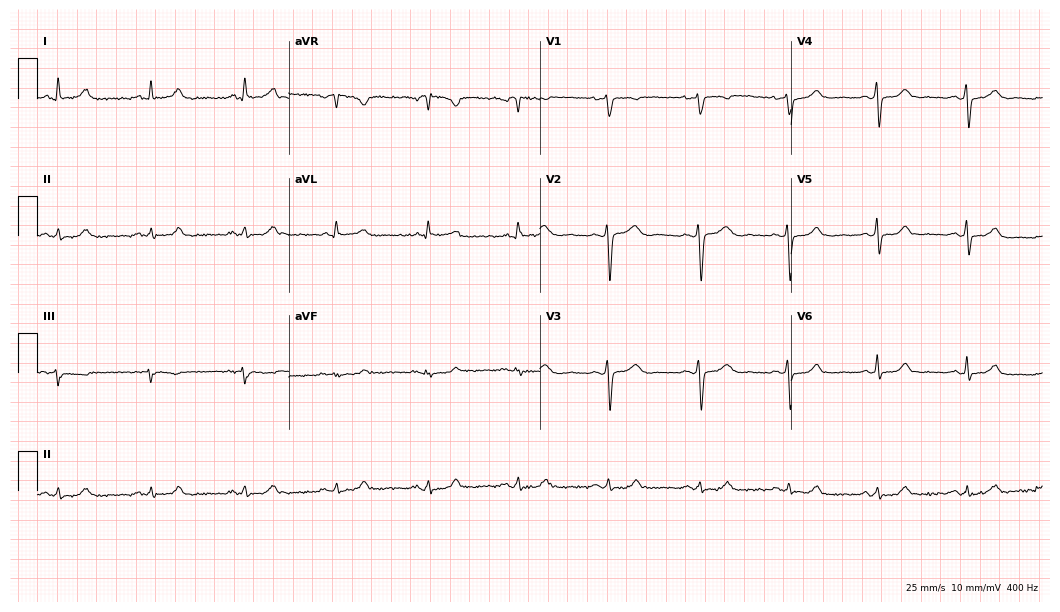
Electrocardiogram (10.2-second recording at 400 Hz), a 45-year-old female. Overall reading on record: normal ECG.